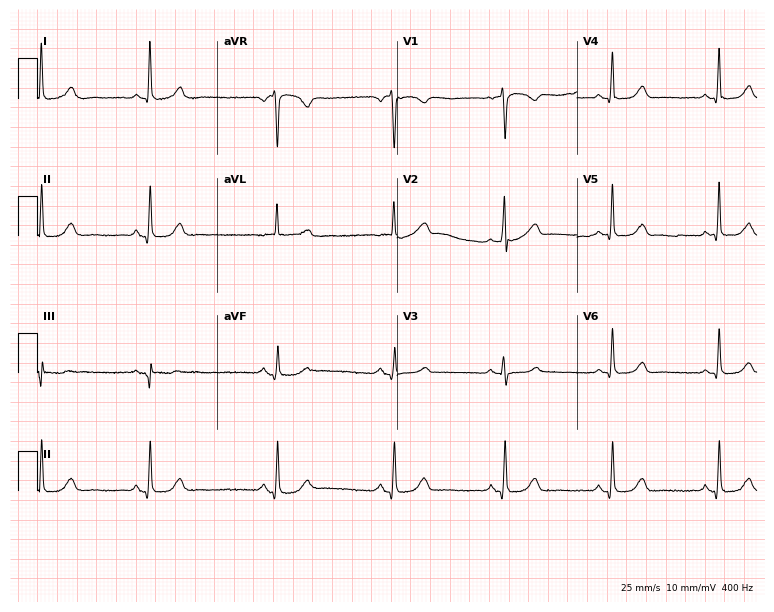
12-lead ECG (7.3-second recording at 400 Hz) from a 66-year-old woman. Screened for six findings — first-degree AV block, right bundle branch block, left bundle branch block, sinus bradycardia, atrial fibrillation, sinus tachycardia — none is recorded. Other findings, if any, are not listed.